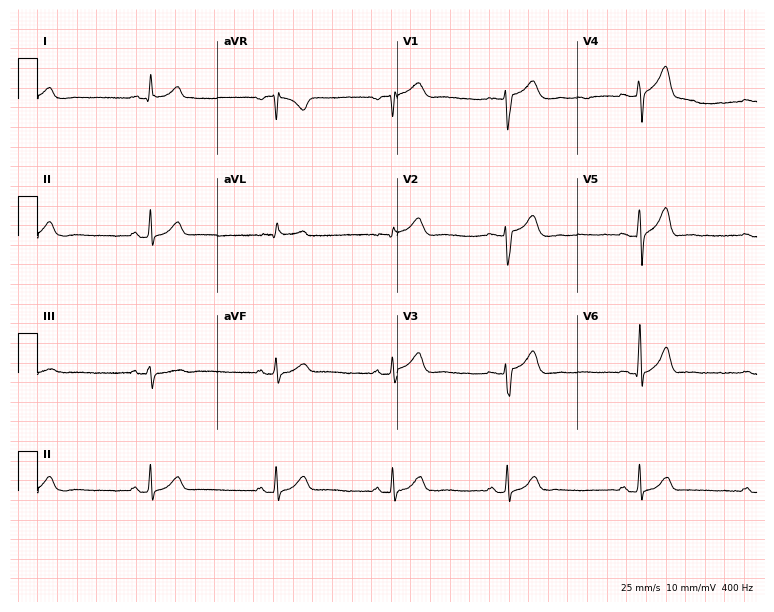
12-lead ECG from a man, 37 years old (7.3-second recording at 400 Hz). Recorded interpretation: within normal limits.